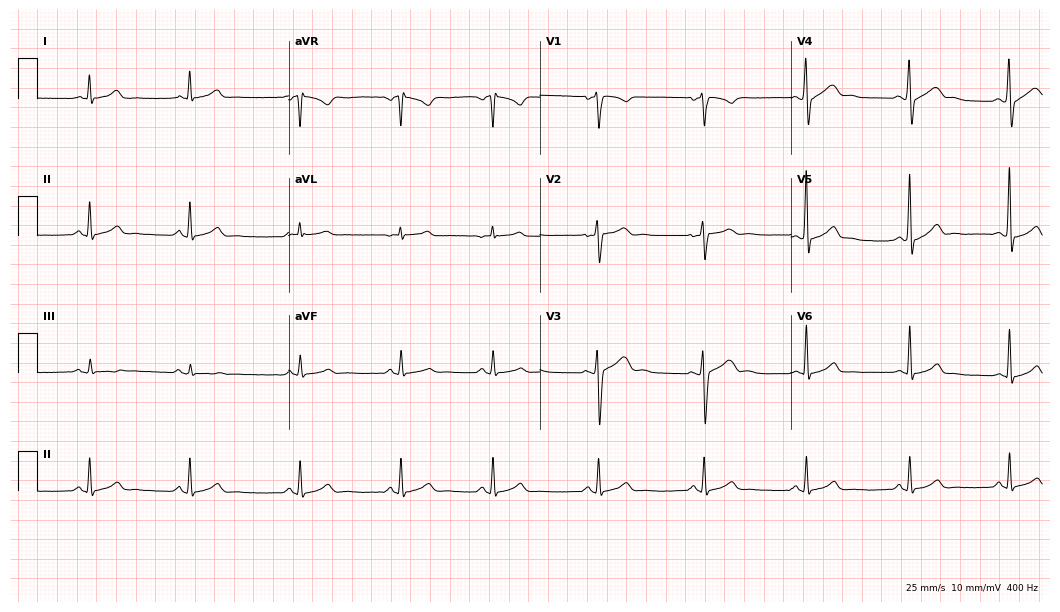
Resting 12-lead electrocardiogram (10.2-second recording at 400 Hz). Patient: a man, 19 years old. Read as a normal ECG.